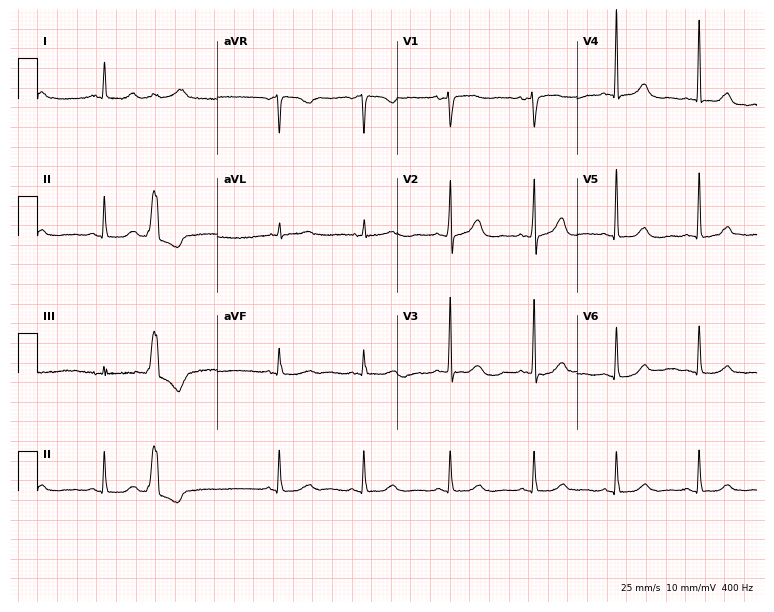
Standard 12-lead ECG recorded from an 83-year-old woman (7.3-second recording at 400 Hz). None of these six findings is recorded: first-degree AV block, right bundle branch block, left bundle branch block, sinus bradycardia, atrial fibrillation, sinus tachycardia.